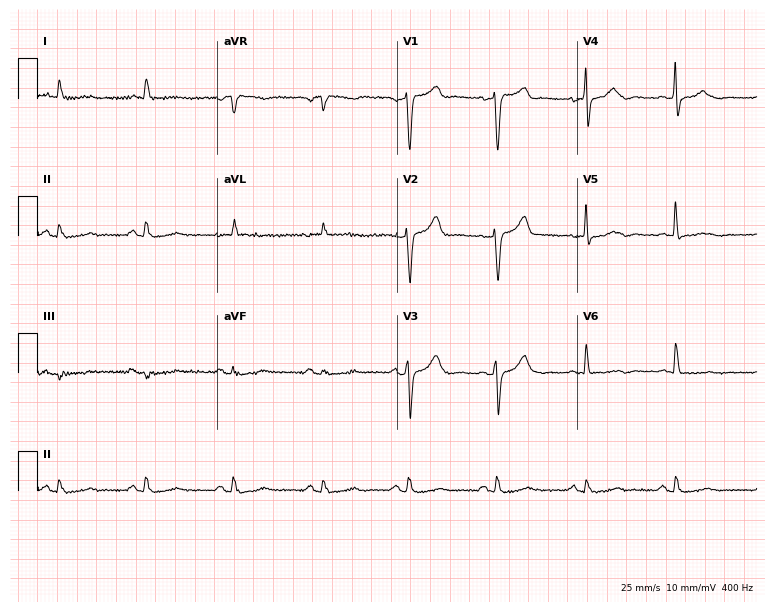
Standard 12-lead ECG recorded from a 69-year-old male patient (7.3-second recording at 400 Hz). None of these six findings is recorded: first-degree AV block, right bundle branch block, left bundle branch block, sinus bradycardia, atrial fibrillation, sinus tachycardia.